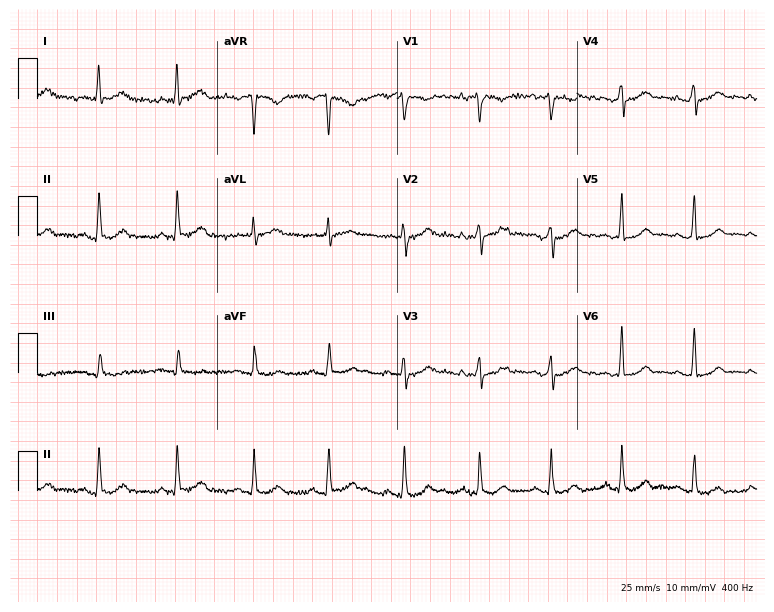
12-lead ECG from a 31-year-old female patient. No first-degree AV block, right bundle branch block, left bundle branch block, sinus bradycardia, atrial fibrillation or sinus tachycardia recorded for this tracing. Findings outside these six are not listed.